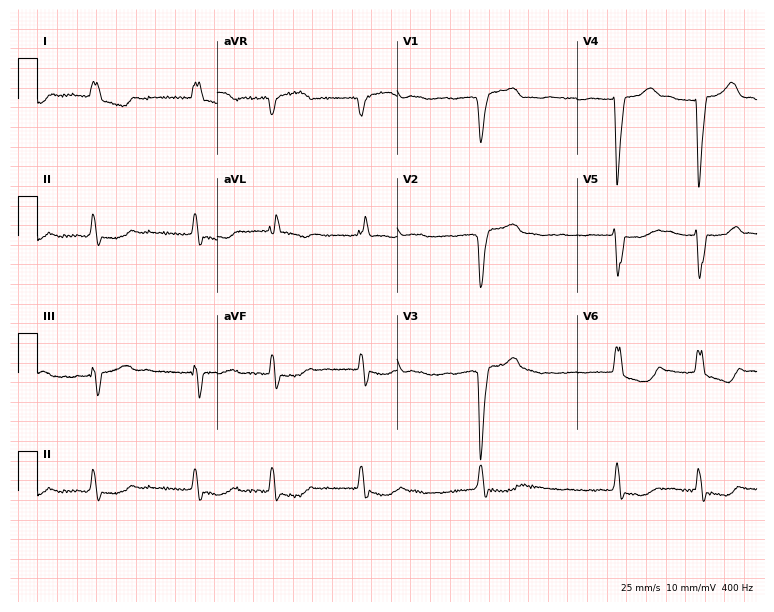
12-lead ECG from a female, 75 years old (7.3-second recording at 400 Hz). Shows left bundle branch block (LBBB), atrial fibrillation (AF).